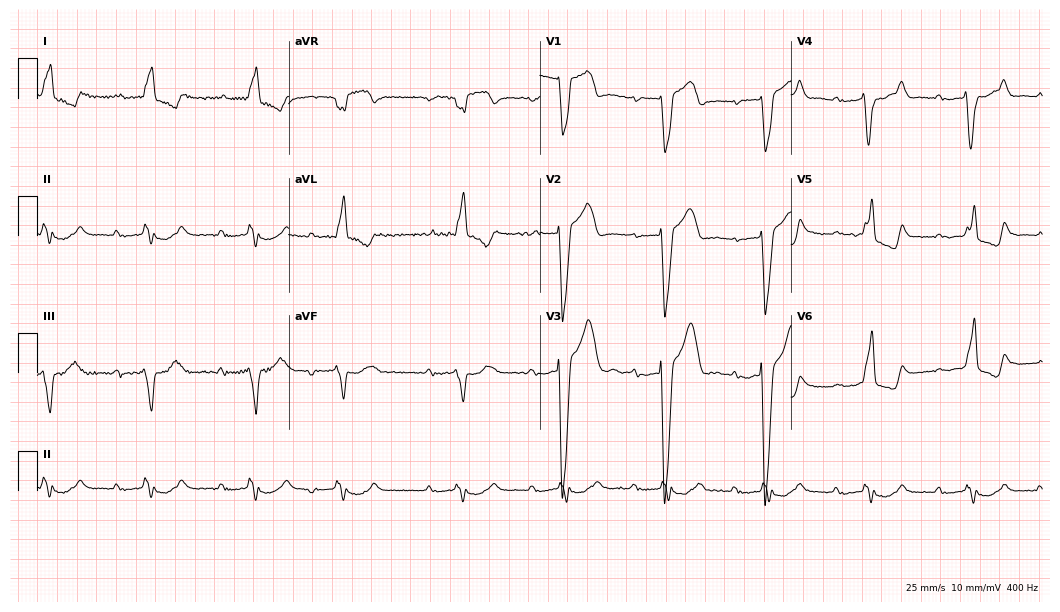
Resting 12-lead electrocardiogram (10.2-second recording at 400 Hz). Patient: a man, 79 years old. The tracing shows first-degree AV block, left bundle branch block.